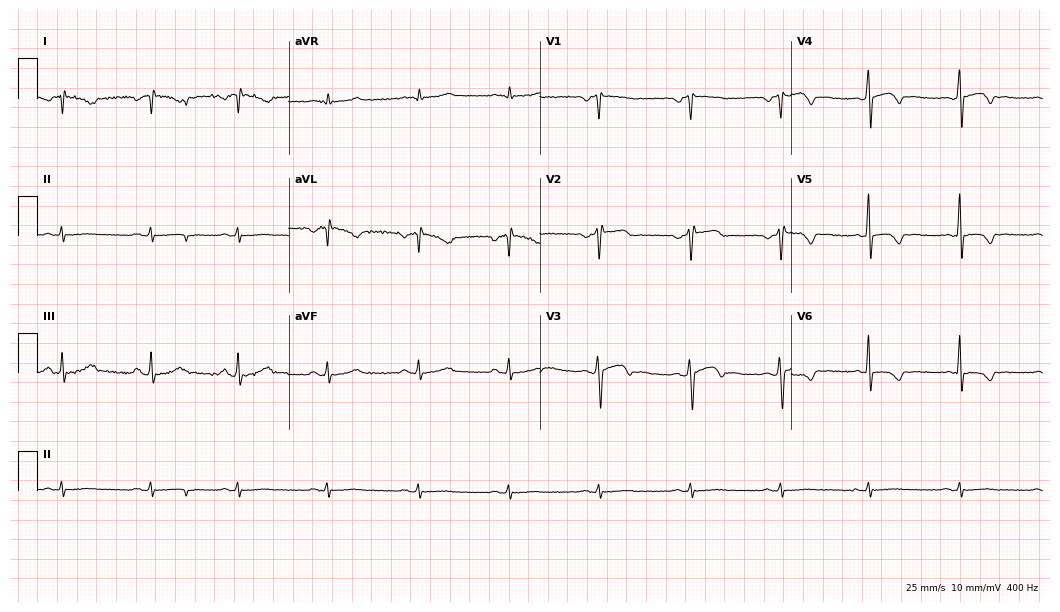
Standard 12-lead ECG recorded from a 52-year-old female patient. None of these six findings is recorded: first-degree AV block, right bundle branch block (RBBB), left bundle branch block (LBBB), sinus bradycardia, atrial fibrillation (AF), sinus tachycardia. Only these six findings were labelled.